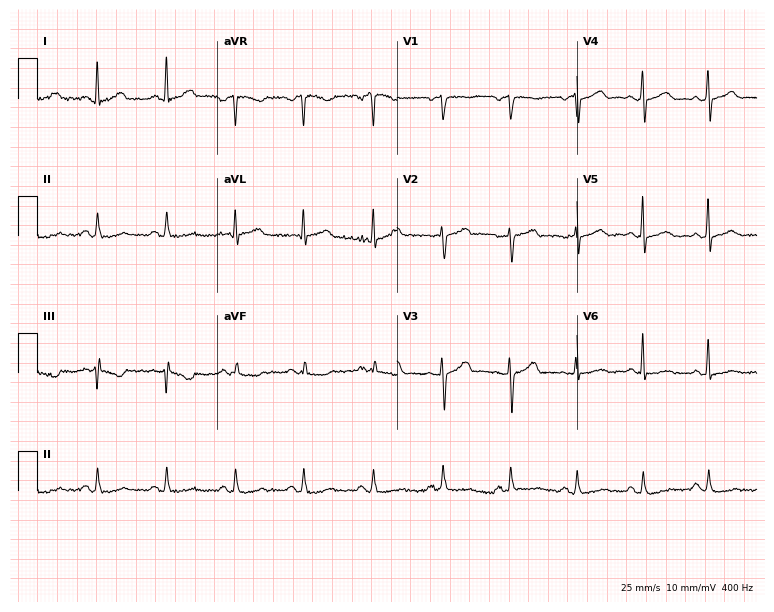
Standard 12-lead ECG recorded from a woman, 54 years old. Read as a normal ECG.